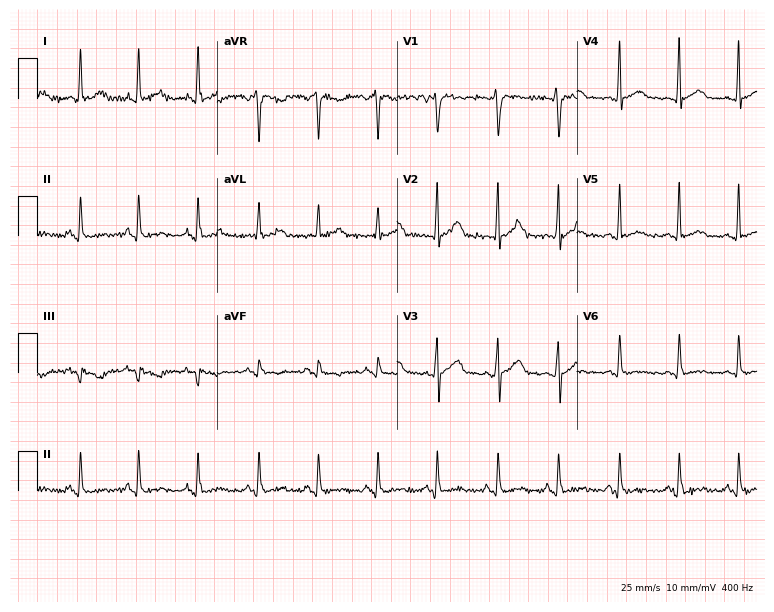
ECG (7.3-second recording at 400 Hz) — a male, 30 years old. Screened for six findings — first-degree AV block, right bundle branch block (RBBB), left bundle branch block (LBBB), sinus bradycardia, atrial fibrillation (AF), sinus tachycardia — none is recorded. Other findings, if any, are not listed.